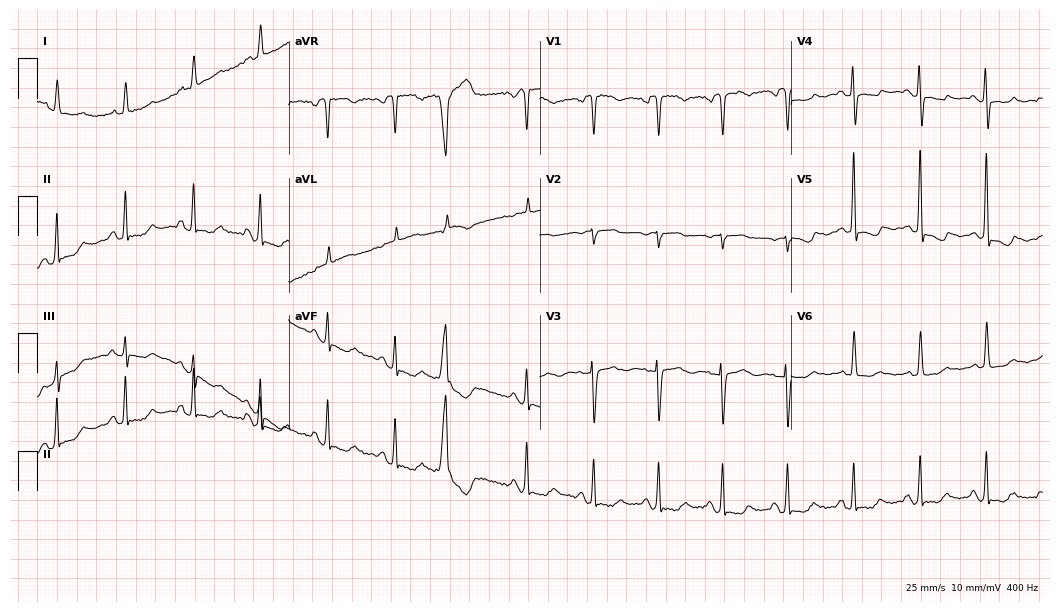
ECG — a 61-year-old female patient. Screened for six findings — first-degree AV block, right bundle branch block, left bundle branch block, sinus bradycardia, atrial fibrillation, sinus tachycardia — none is recorded. Findings outside these six are not listed.